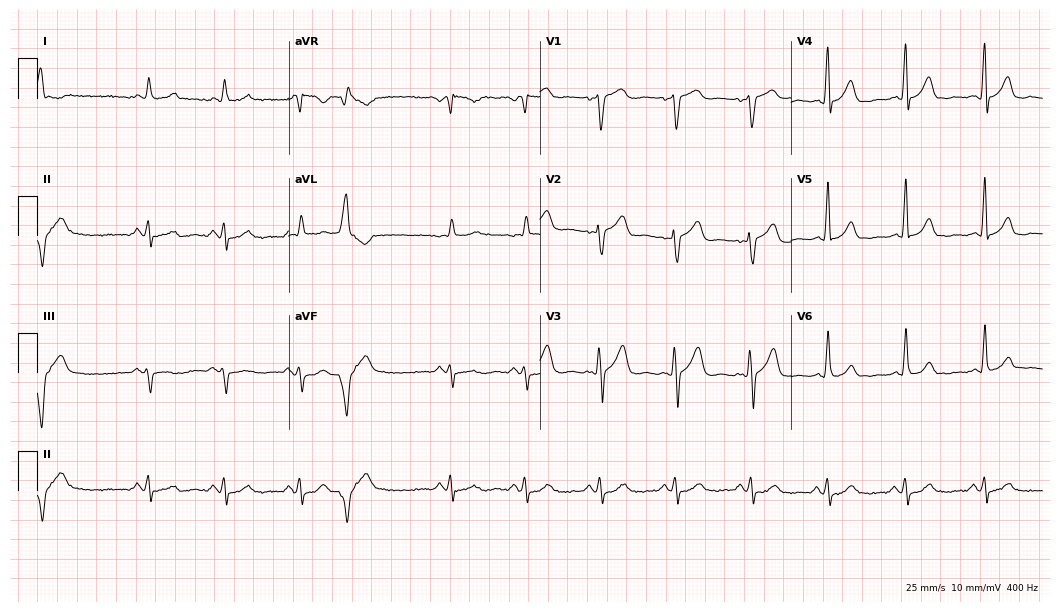
Standard 12-lead ECG recorded from a 67-year-old man (10.2-second recording at 400 Hz). None of these six findings is recorded: first-degree AV block, right bundle branch block (RBBB), left bundle branch block (LBBB), sinus bradycardia, atrial fibrillation (AF), sinus tachycardia. Only these six findings were labelled.